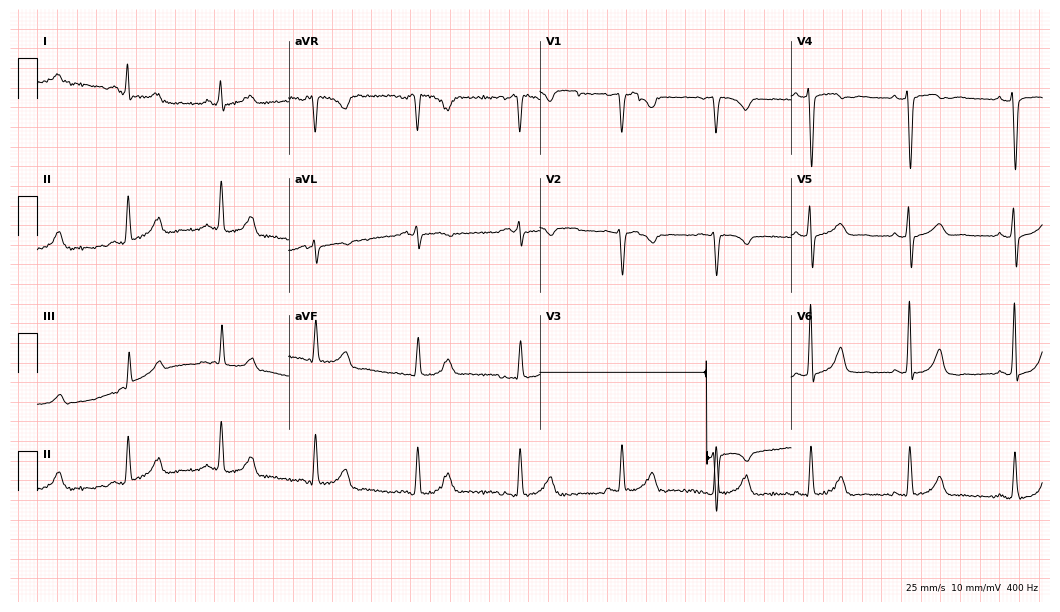
12-lead ECG from a 42-year-old female patient. No first-degree AV block, right bundle branch block, left bundle branch block, sinus bradycardia, atrial fibrillation or sinus tachycardia recorded for this tracing. Other findings, if any, are not listed.